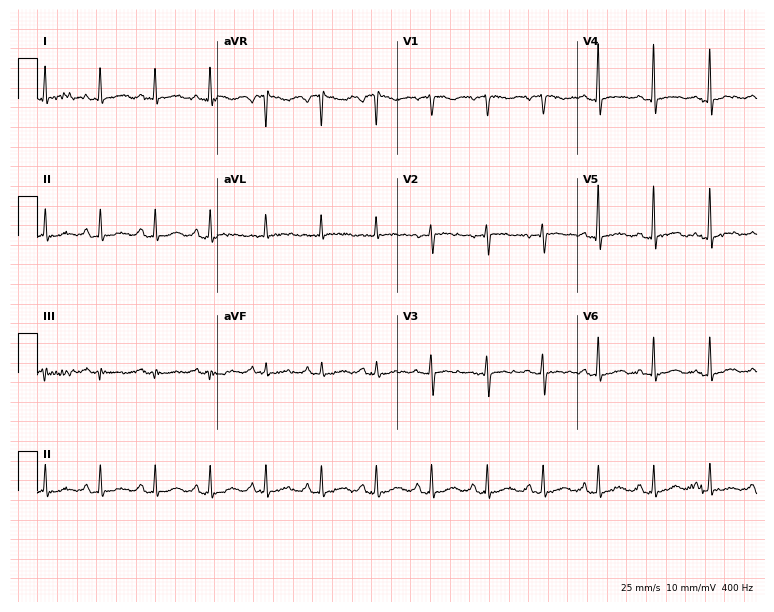
Electrocardiogram (7.3-second recording at 400 Hz), a 70-year-old woman. Of the six screened findings (first-degree AV block, right bundle branch block, left bundle branch block, sinus bradycardia, atrial fibrillation, sinus tachycardia), none is recorded. Findings outside these six are not listed.